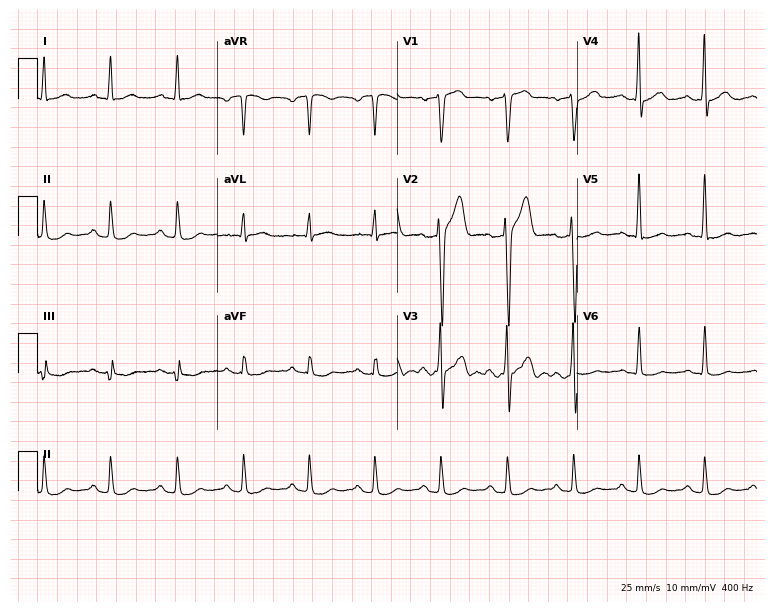
ECG — a male patient, 42 years old. Screened for six findings — first-degree AV block, right bundle branch block, left bundle branch block, sinus bradycardia, atrial fibrillation, sinus tachycardia — none is recorded.